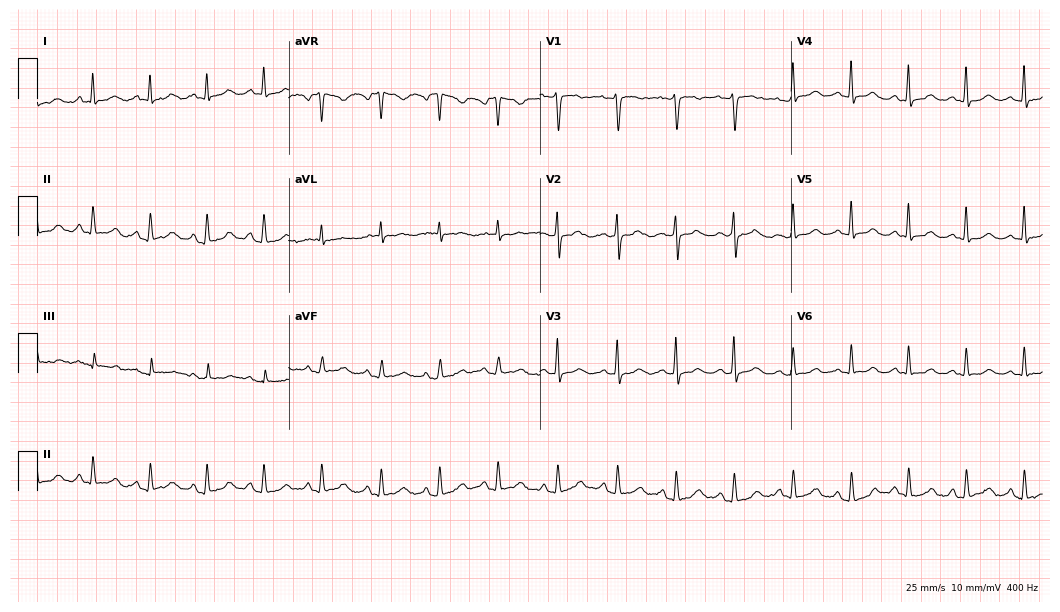
ECG — a female, 52 years old. Labelled as a normal ECG.